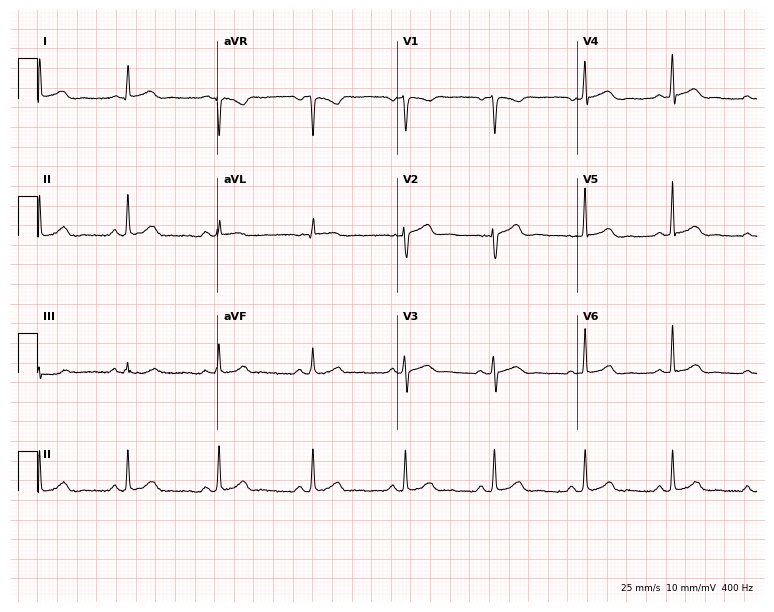
ECG — a 37-year-old female patient. Labelled as a normal ECG.